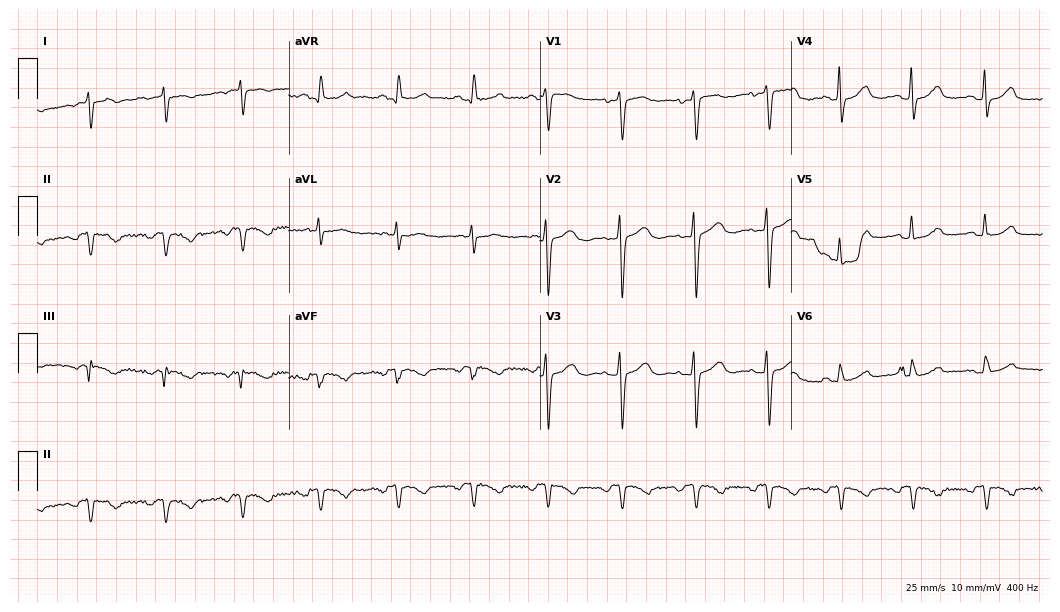
12-lead ECG from a woman, 78 years old (10.2-second recording at 400 Hz). No first-degree AV block, right bundle branch block (RBBB), left bundle branch block (LBBB), sinus bradycardia, atrial fibrillation (AF) or sinus tachycardia recorded for this tracing. Only these six findings were labelled.